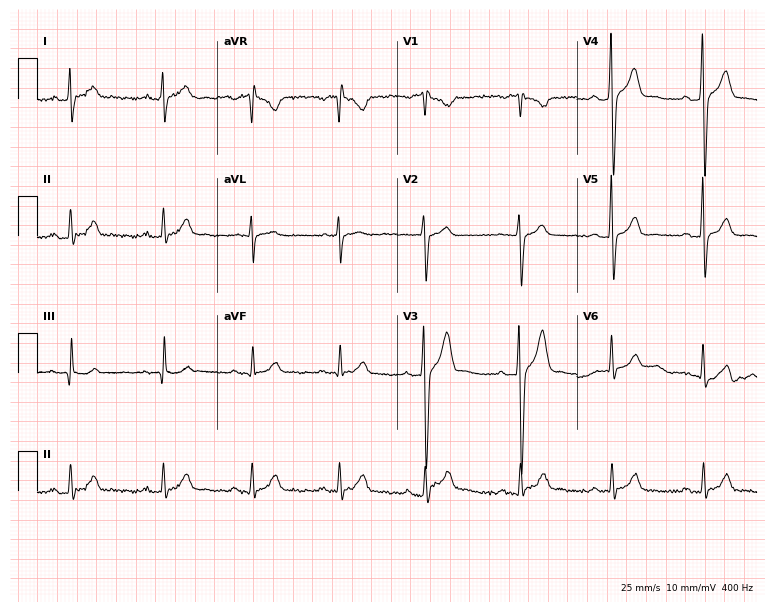
Resting 12-lead electrocardiogram (7.3-second recording at 400 Hz). Patient: a 30-year-old male. Read as a normal ECG.